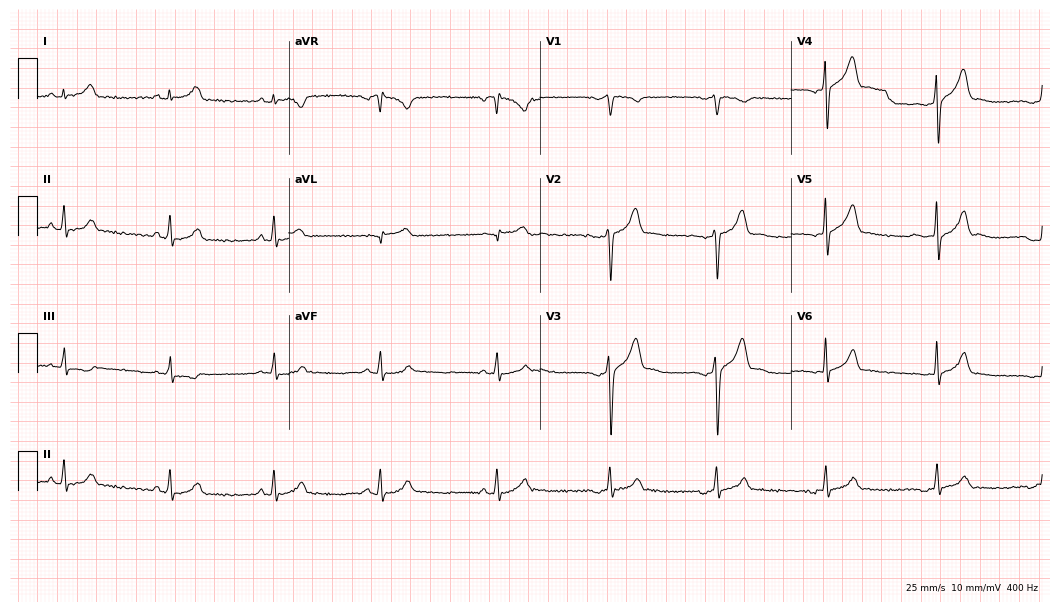
Resting 12-lead electrocardiogram (10.2-second recording at 400 Hz). Patient: a 41-year-old male. None of these six findings is recorded: first-degree AV block, right bundle branch block, left bundle branch block, sinus bradycardia, atrial fibrillation, sinus tachycardia.